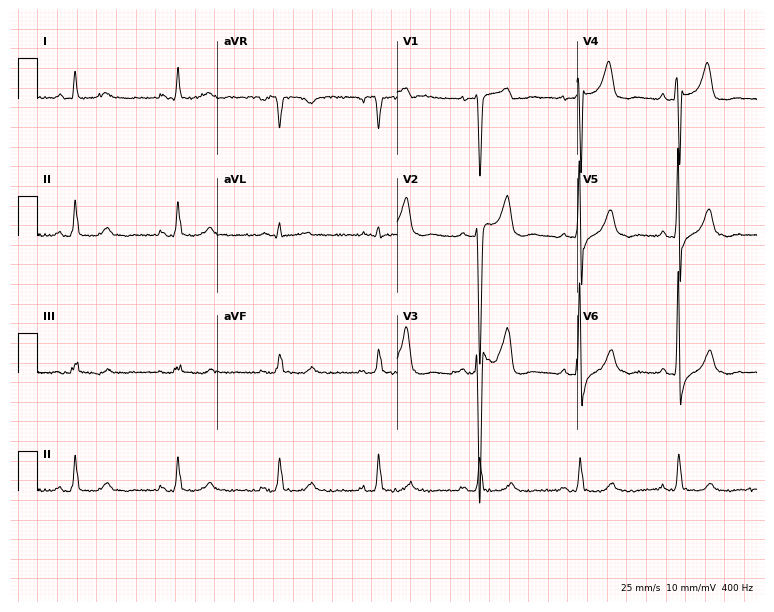
Standard 12-lead ECG recorded from an 80-year-old man (7.3-second recording at 400 Hz). None of these six findings is recorded: first-degree AV block, right bundle branch block (RBBB), left bundle branch block (LBBB), sinus bradycardia, atrial fibrillation (AF), sinus tachycardia. Only these six findings were labelled.